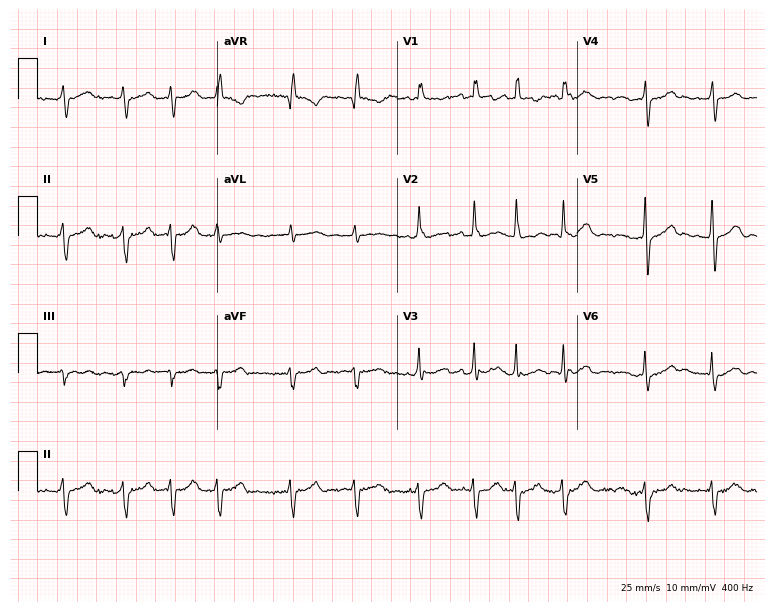
Electrocardiogram (7.3-second recording at 400 Hz), an 81-year-old woman. Interpretation includes atrial fibrillation (AF).